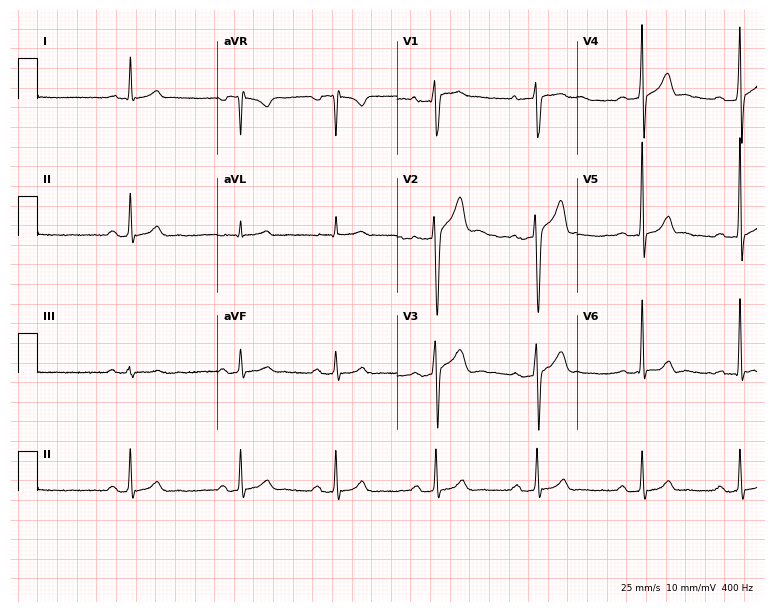
Standard 12-lead ECG recorded from a male, 27 years old. Read as a normal ECG.